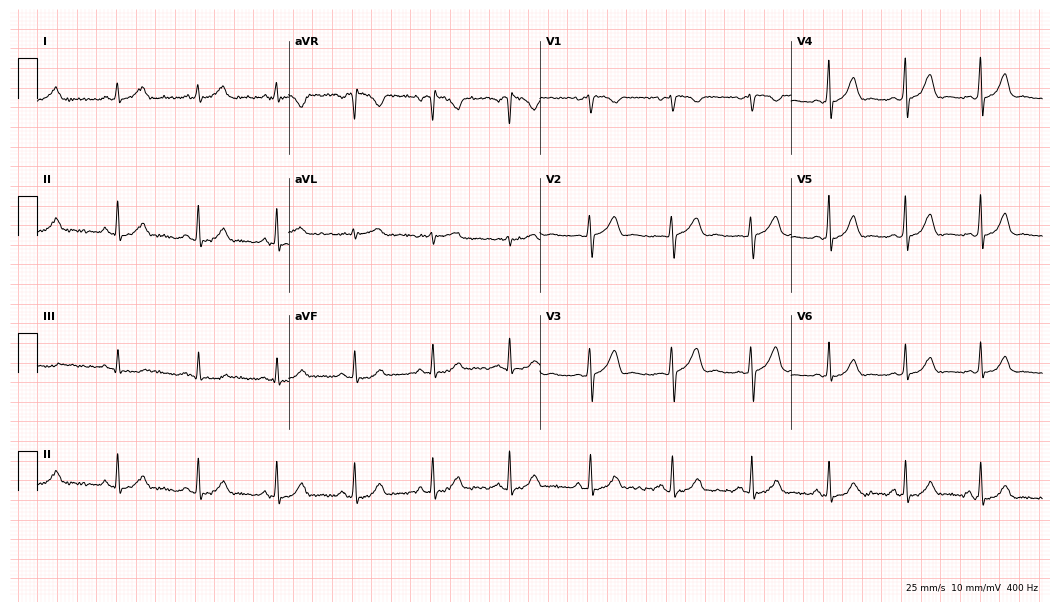
Electrocardiogram (10.2-second recording at 400 Hz), a female, 29 years old. Overall reading on record: normal ECG.